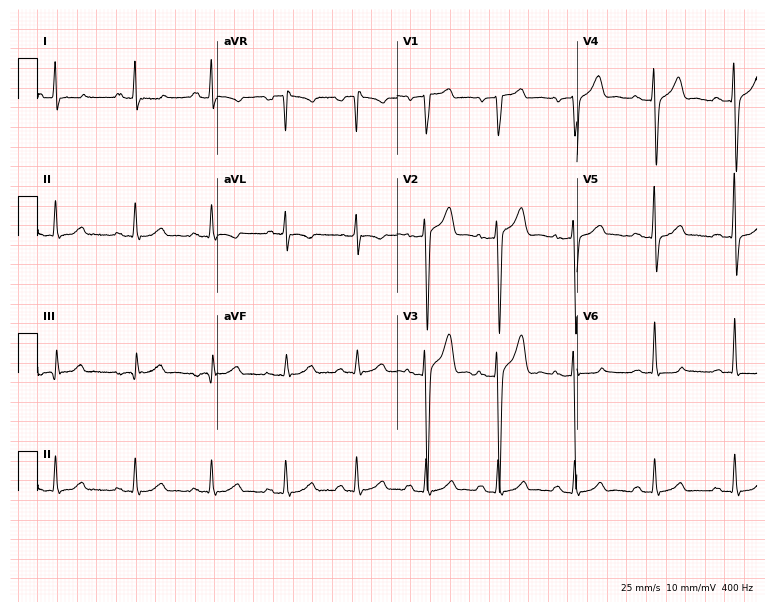
12-lead ECG from a male patient, 37 years old. No first-degree AV block, right bundle branch block, left bundle branch block, sinus bradycardia, atrial fibrillation or sinus tachycardia recorded for this tracing.